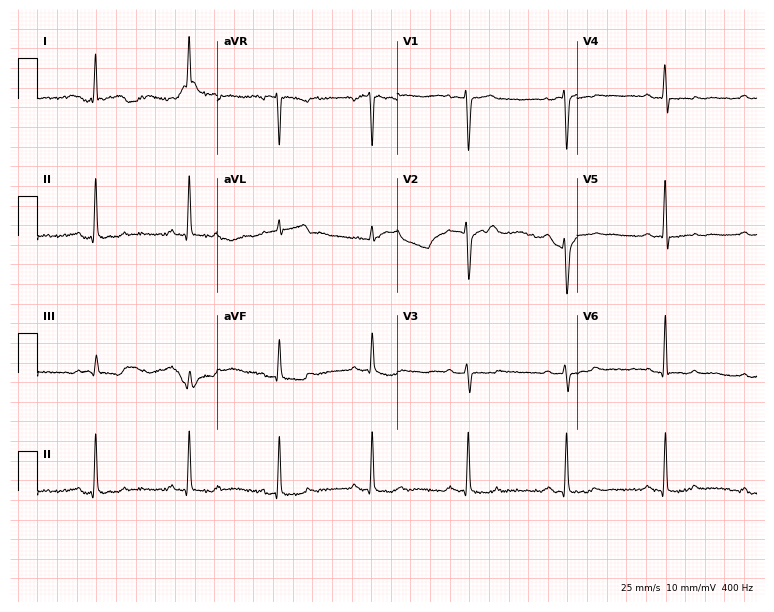
Standard 12-lead ECG recorded from a female patient, 45 years old (7.3-second recording at 400 Hz). None of these six findings is recorded: first-degree AV block, right bundle branch block, left bundle branch block, sinus bradycardia, atrial fibrillation, sinus tachycardia.